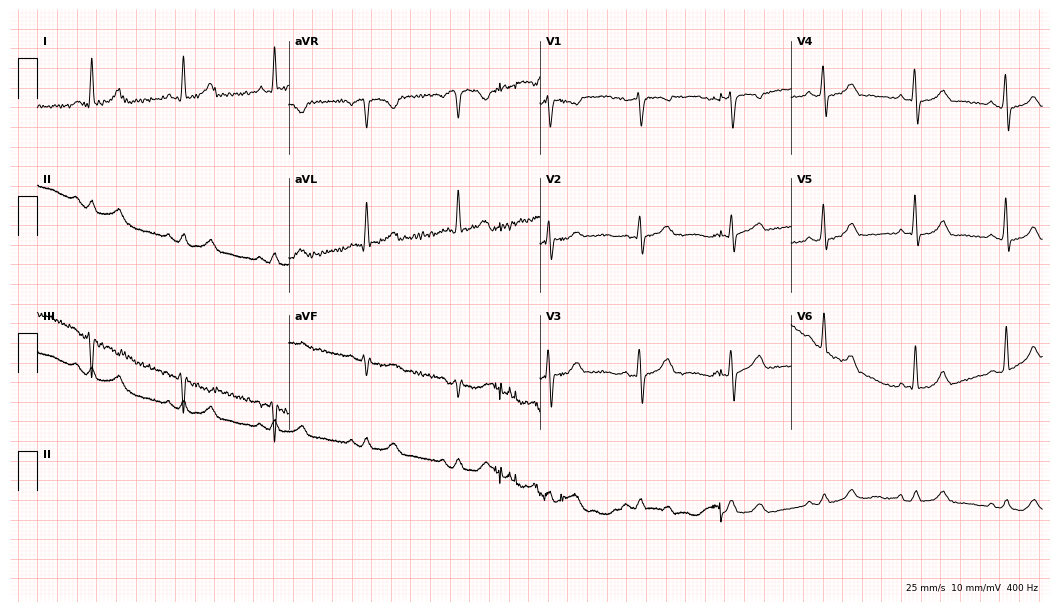
Resting 12-lead electrocardiogram (10.2-second recording at 400 Hz). Patient: a 74-year-old male. None of these six findings is recorded: first-degree AV block, right bundle branch block, left bundle branch block, sinus bradycardia, atrial fibrillation, sinus tachycardia. Findings outside these six are not listed.